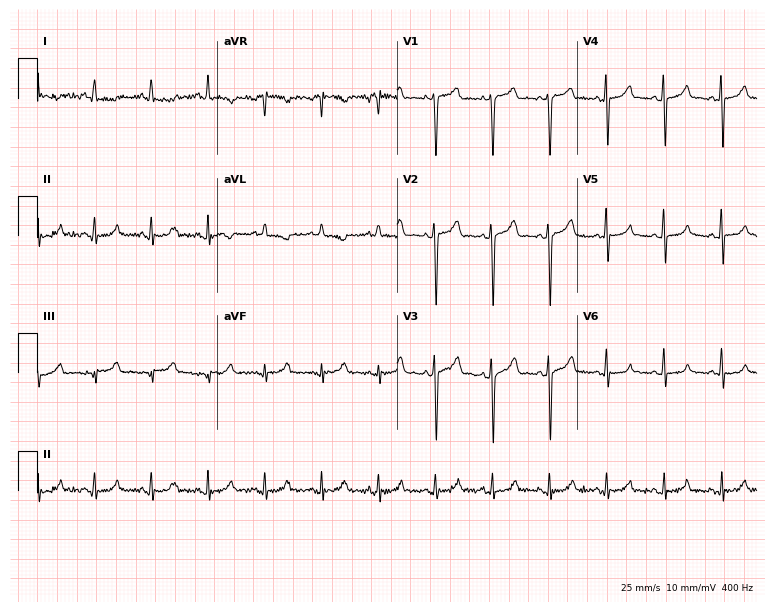
Resting 12-lead electrocardiogram. Patient: a male, 69 years old. None of these six findings is recorded: first-degree AV block, right bundle branch block, left bundle branch block, sinus bradycardia, atrial fibrillation, sinus tachycardia.